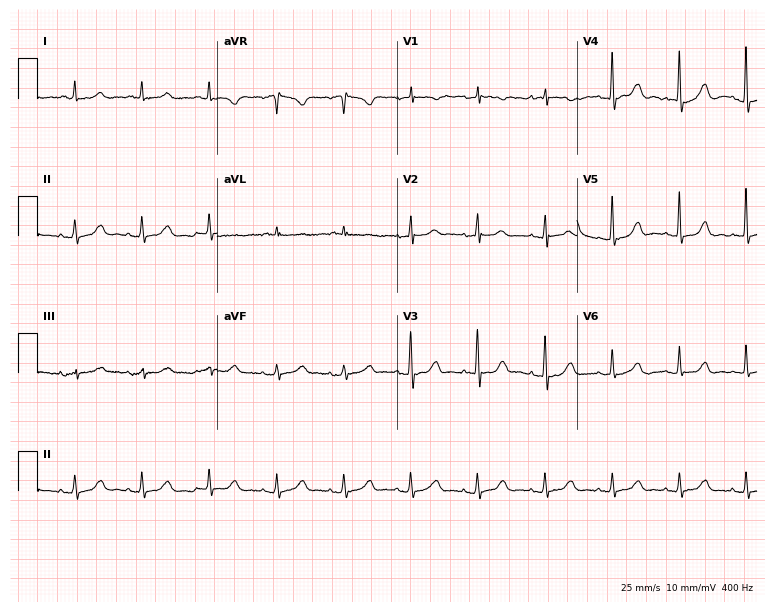
12-lead ECG from a 75-year-old woman (7.3-second recording at 400 Hz). No first-degree AV block, right bundle branch block, left bundle branch block, sinus bradycardia, atrial fibrillation or sinus tachycardia recorded for this tracing.